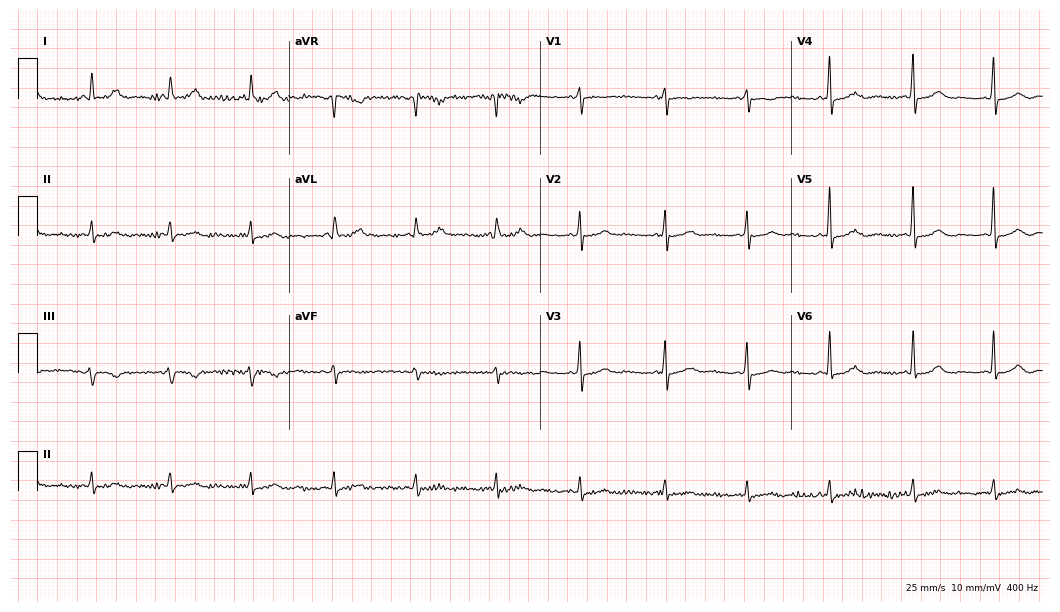
ECG (10.2-second recording at 400 Hz) — a female, 66 years old. Screened for six findings — first-degree AV block, right bundle branch block, left bundle branch block, sinus bradycardia, atrial fibrillation, sinus tachycardia — none is recorded. Other findings, if any, are not listed.